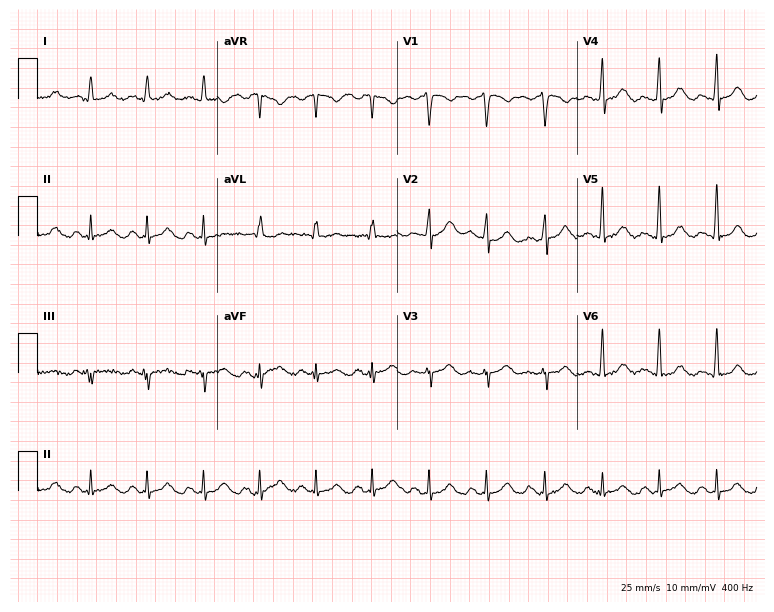
12-lead ECG from a 46-year-old female. Findings include sinus tachycardia (a sinus rate of 100 beats per minute or more).